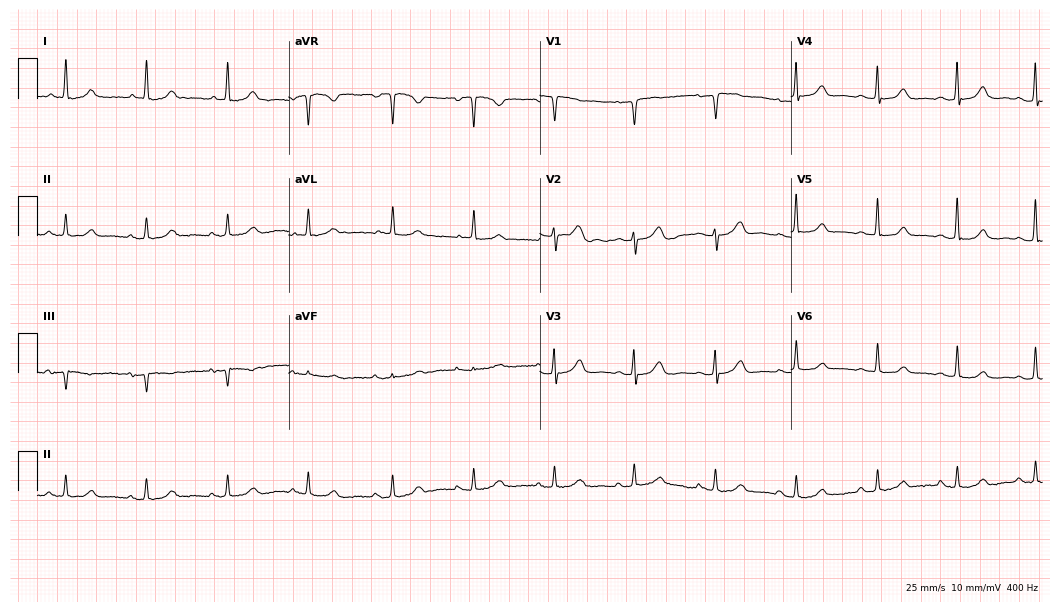
Standard 12-lead ECG recorded from a female patient, 61 years old (10.2-second recording at 400 Hz). None of these six findings is recorded: first-degree AV block, right bundle branch block (RBBB), left bundle branch block (LBBB), sinus bradycardia, atrial fibrillation (AF), sinus tachycardia. Other findings, if any, are not listed.